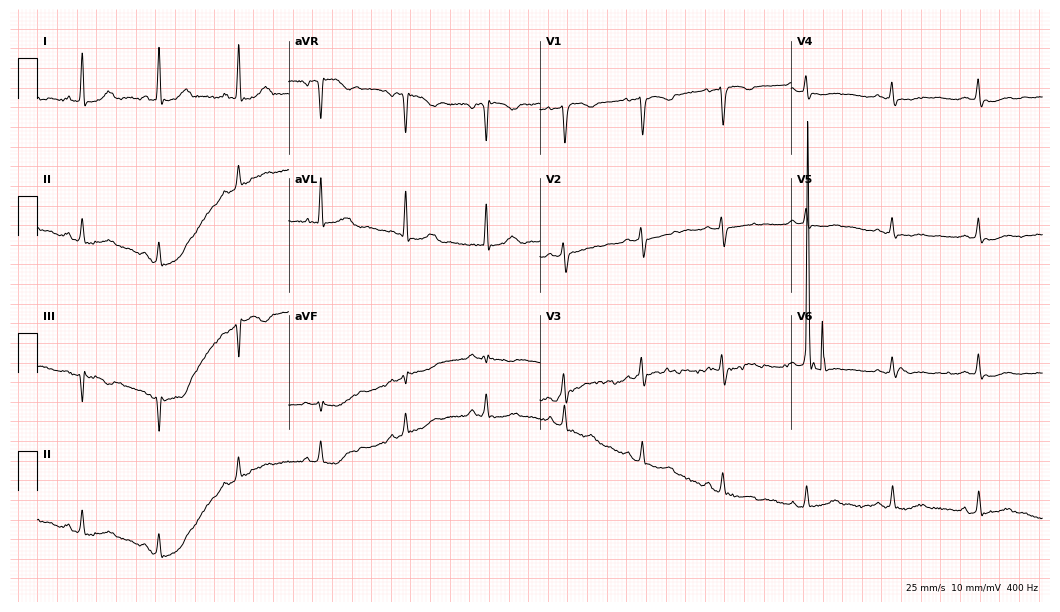
Standard 12-lead ECG recorded from a 58-year-old female patient. Read as a normal ECG.